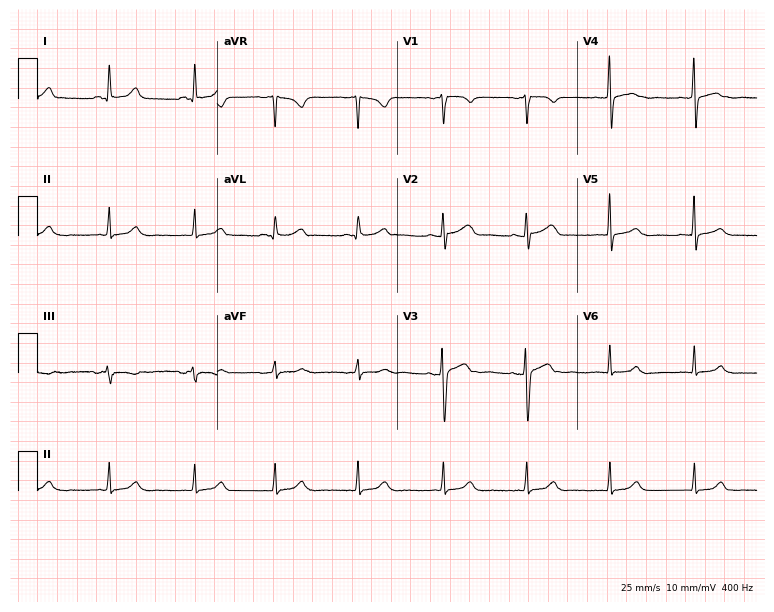
Resting 12-lead electrocardiogram. Patient: a female, 55 years old. Read as a normal ECG.